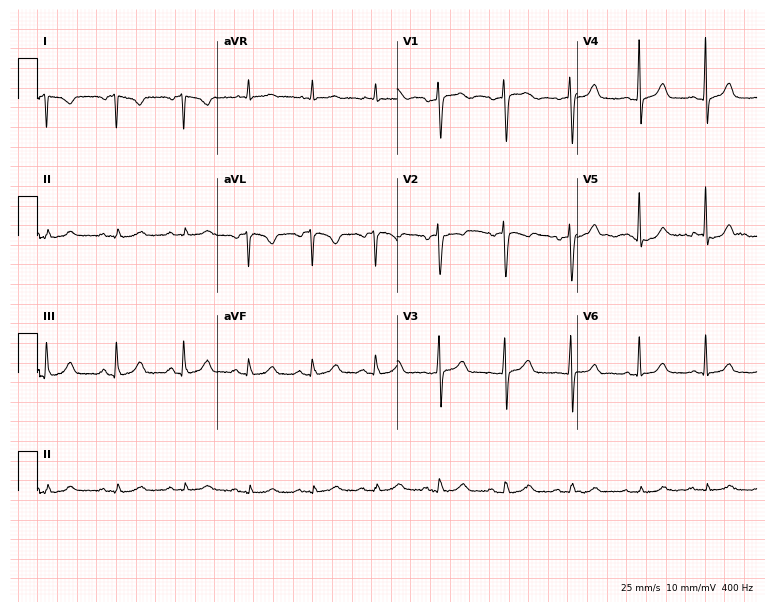
12-lead ECG from a 34-year-old female patient. Screened for six findings — first-degree AV block, right bundle branch block, left bundle branch block, sinus bradycardia, atrial fibrillation, sinus tachycardia — none is recorded.